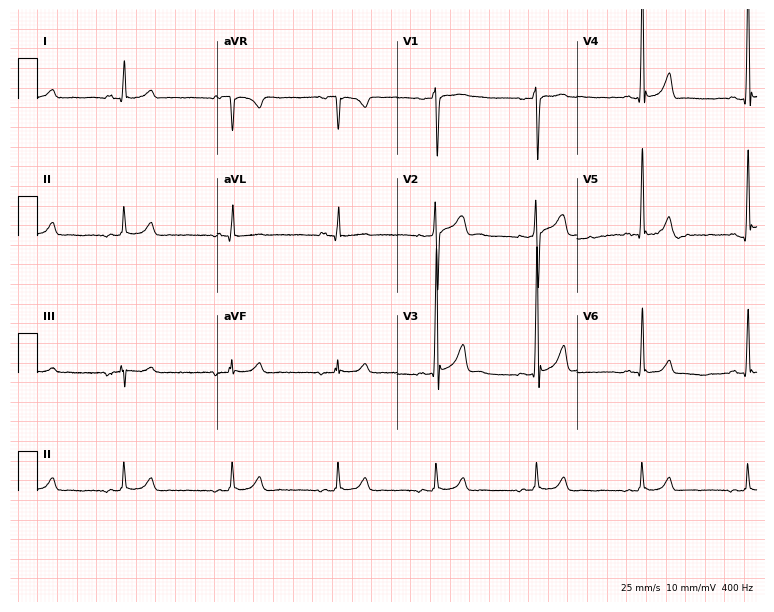
12-lead ECG from a male, 17 years old. No first-degree AV block, right bundle branch block, left bundle branch block, sinus bradycardia, atrial fibrillation or sinus tachycardia recorded for this tracing. Only these six findings were labelled.